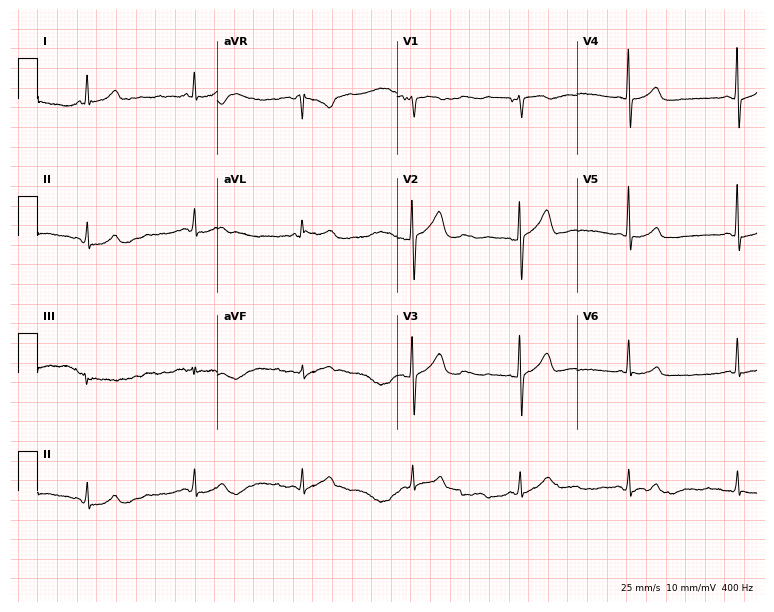
12-lead ECG from a woman, 57 years old. Recorded interpretation: within normal limits.